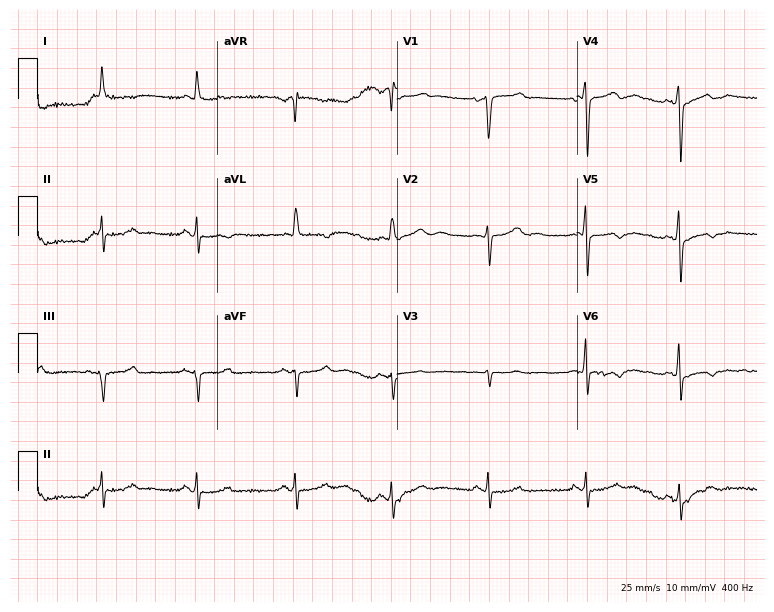
12-lead ECG from a woman, 62 years old (7.3-second recording at 400 Hz). No first-degree AV block, right bundle branch block (RBBB), left bundle branch block (LBBB), sinus bradycardia, atrial fibrillation (AF) or sinus tachycardia recorded for this tracing. Other findings, if any, are not listed.